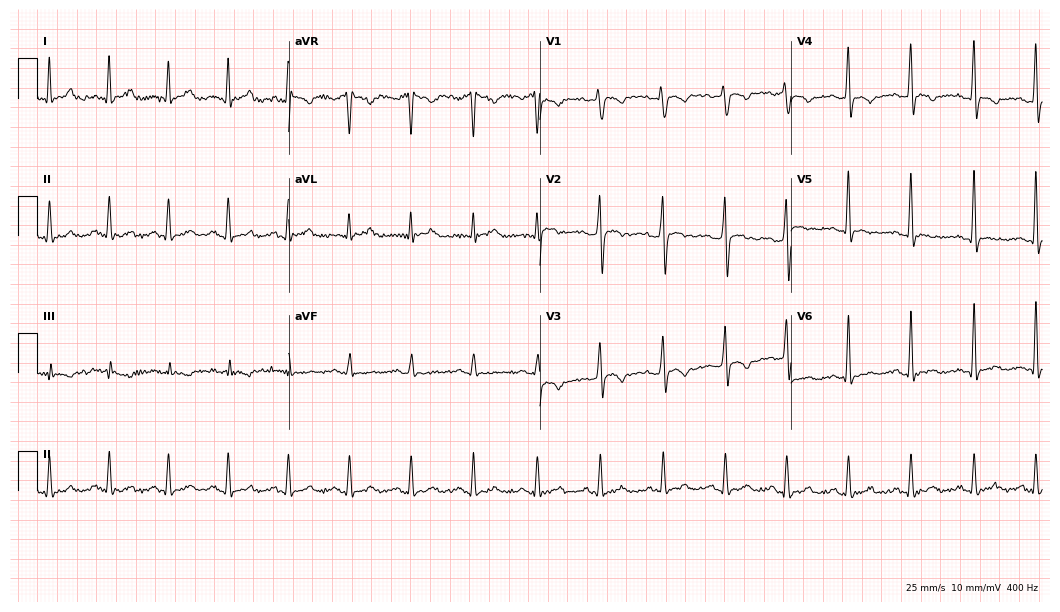
Resting 12-lead electrocardiogram. Patient: a 46-year-old male. None of these six findings is recorded: first-degree AV block, right bundle branch block (RBBB), left bundle branch block (LBBB), sinus bradycardia, atrial fibrillation (AF), sinus tachycardia. Findings outside these six are not listed.